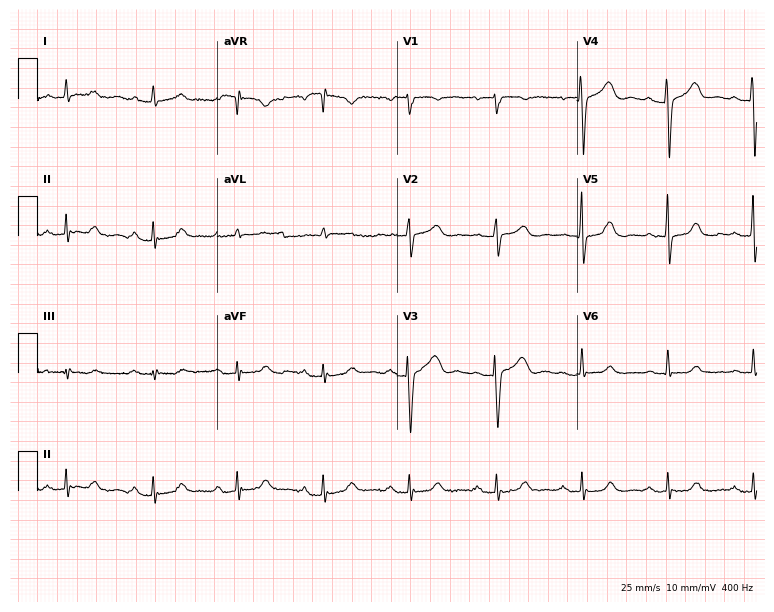
12-lead ECG from a woman, 72 years old (7.3-second recording at 400 Hz). Recorded interpretation: within normal limits.